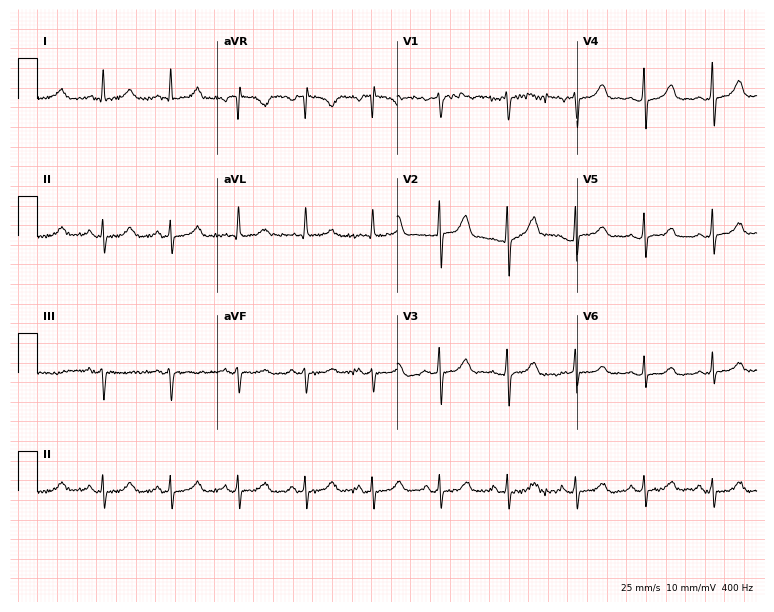
Resting 12-lead electrocardiogram (7.3-second recording at 400 Hz). Patient: a female, 49 years old. None of these six findings is recorded: first-degree AV block, right bundle branch block, left bundle branch block, sinus bradycardia, atrial fibrillation, sinus tachycardia. Other findings, if any, are not listed.